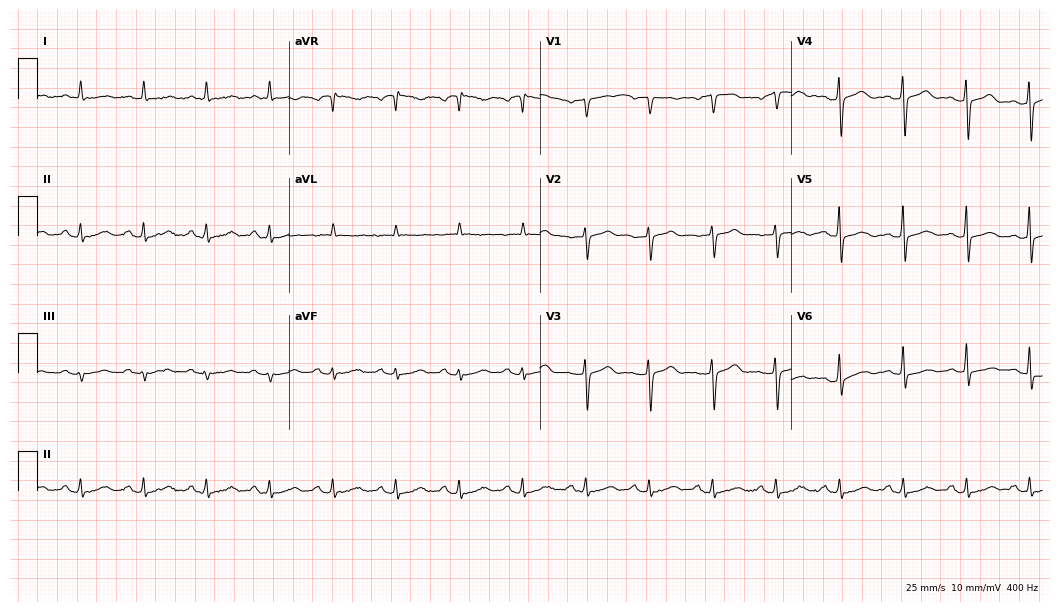
Electrocardiogram (10.2-second recording at 400 Hz), a 64-year-old woman. Of the six screened findings (first-degree AV block, right bundle branch block (RBBB), left bundle branch block (LBBB), sinus bradycardia, atrial fibrillation (AF), sinus tachycardia), none is recorded.